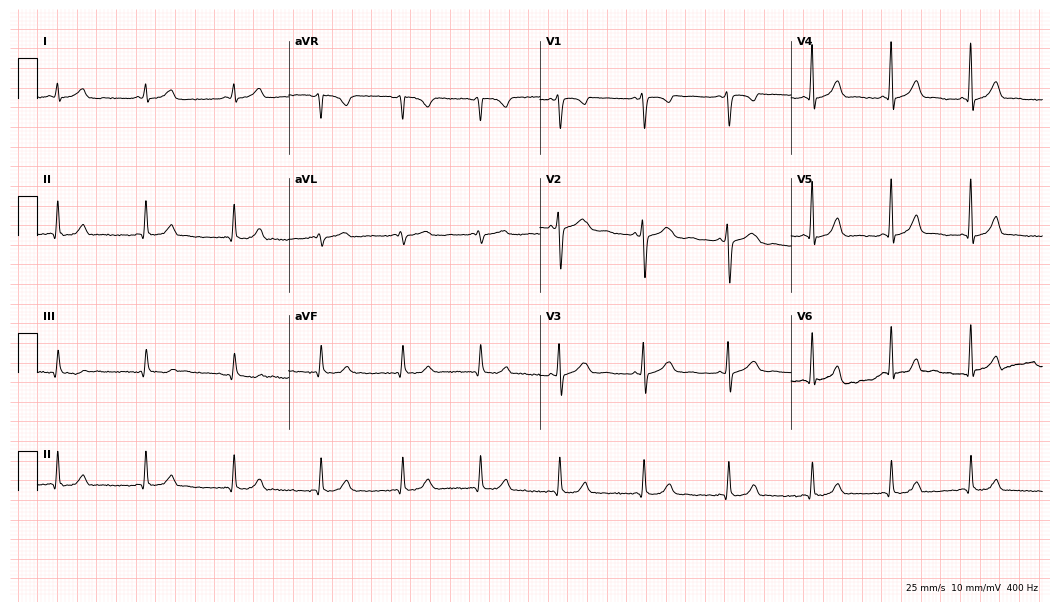
Resting 12-lead electrocardiogram. Patient: a female, 29 years old. Read as a normal ECG.